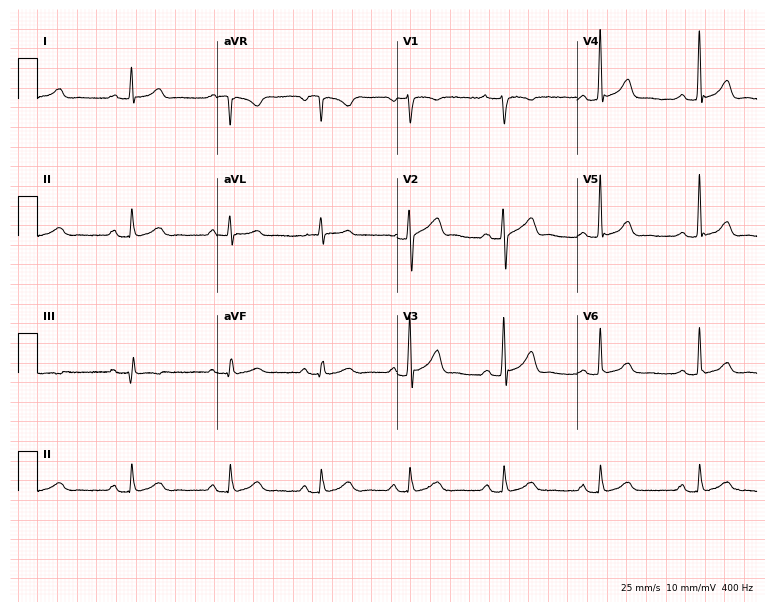
12-lead ECG from a female, 33 years old (7.3-second recording at 400 Hz). No first-degree AV block, right bundle branch block, left bundle branch block, sinus bradycardia, atrial fibrillation or sinus tachycardia recorded for this tracing.